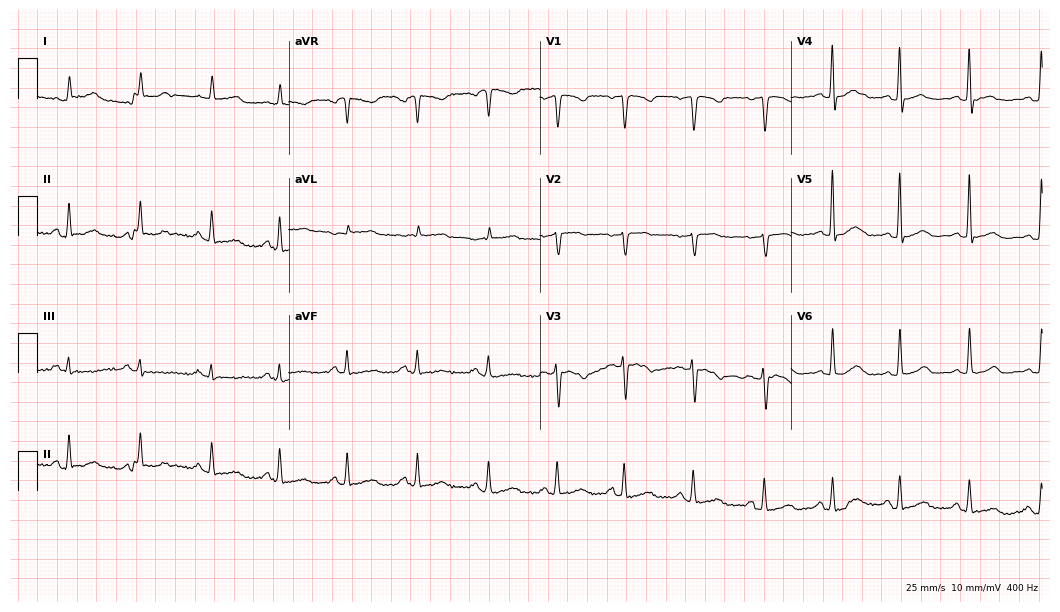
Standard 12-lead ECG recorded from a woman, 64 years old. None of these six findings is recorded: first-degree AV block, right bundle branch block, left bundle branch block, sinus bradycardia, atrial fibrillation, sinus tachycardia.